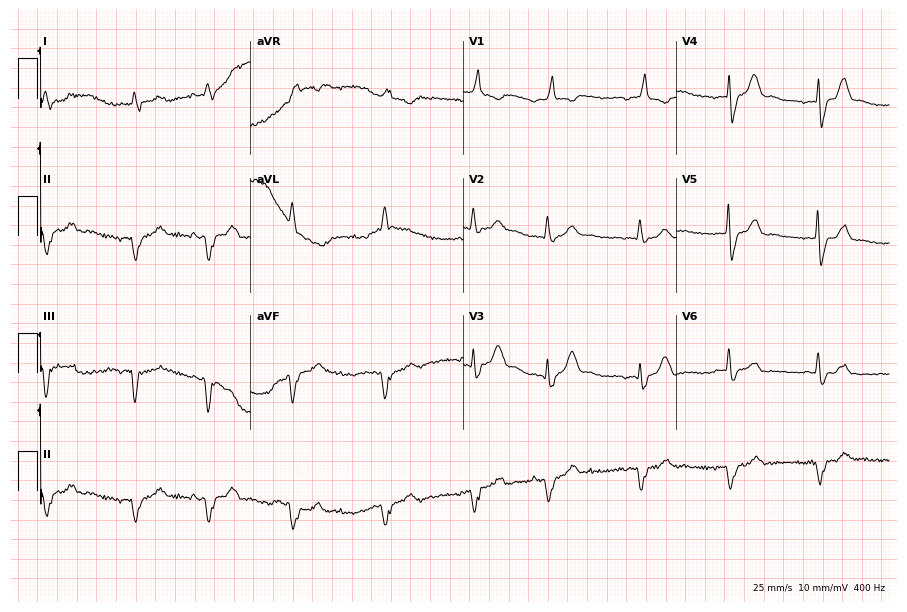
12-lead ECG from an 81-year-old man. Screened for six findings — first-degree AV block, right bundle branch block (RBBB), left bundle branch block (LBBB), sinus bradycardia, atrial fibrillation (AF), sinus tachycardia — none is recorded.